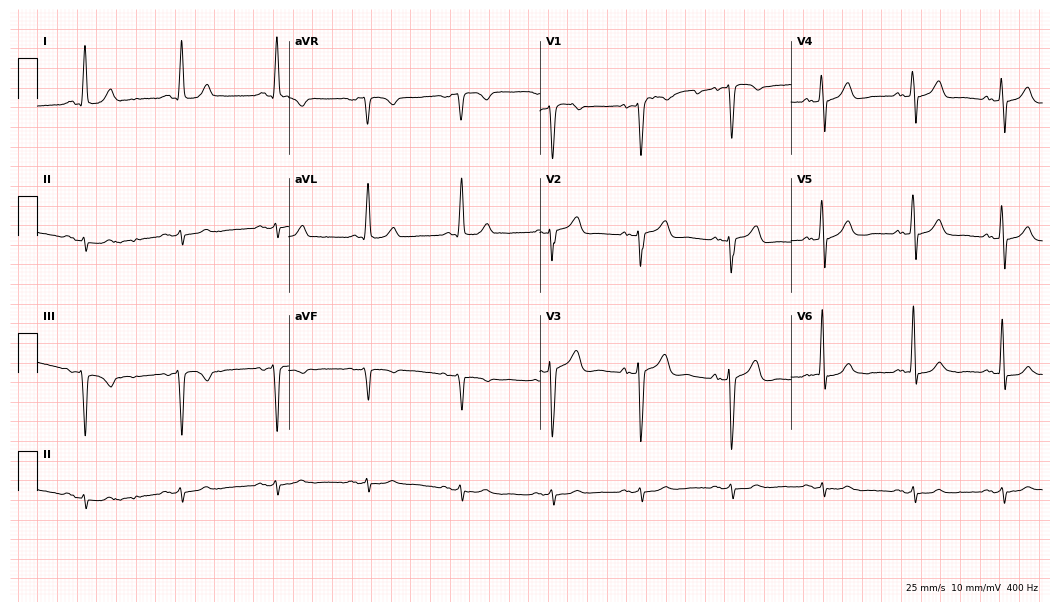
ECG — a man, 73 years old. Screened for six findings — first-degree AV block, right bundle branch block, left bundle branch block, sinus bradycardia, atrial fibrillation, sinus tachycardia — none is recorded. Other findings, if any, are not listed.